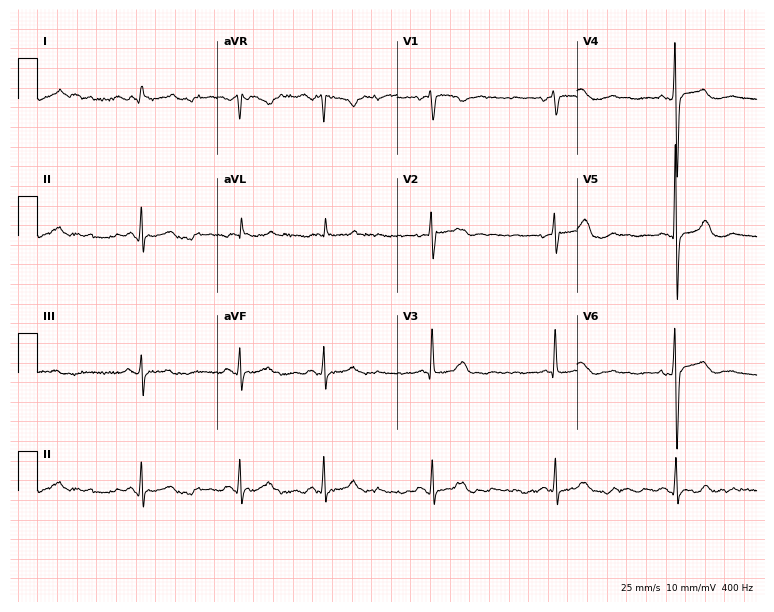
Resting 12-lead electrocardiogram (7.3-second recording at 400 Hz). Patient: a 69-year-old female. Read as a normal ECG.